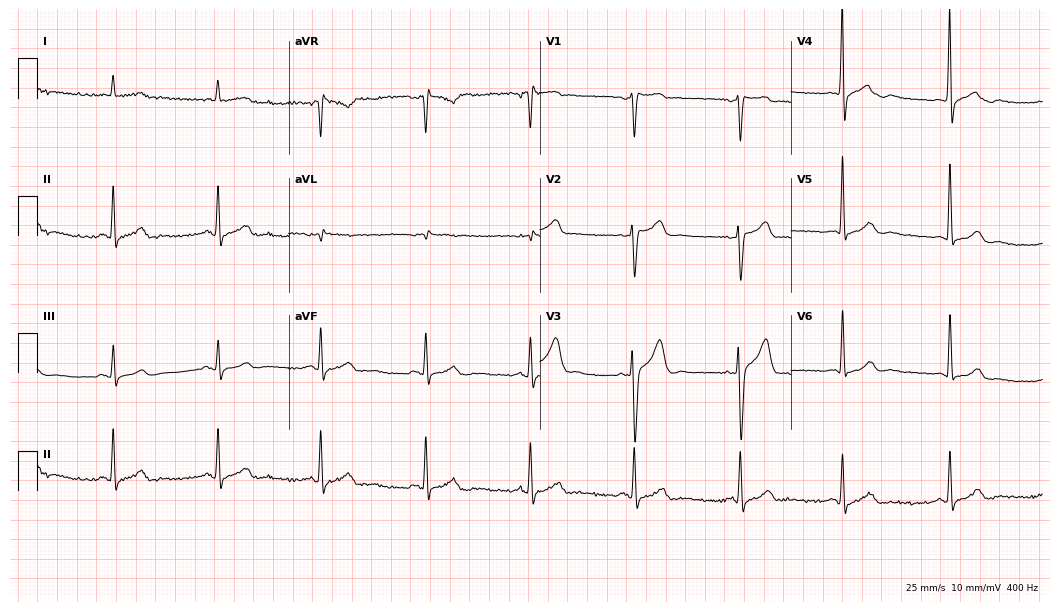
12-lead ECG (10.2-second recording at 400 Hz) from a male, 64 years old. Screened for six findings — first-degree AV block, right bundle branch block (RBBB), left bundle branch block (LBBB), sinus bradycardia, atrial fibrillation (AF), sinus tachycardia — none is recorded.